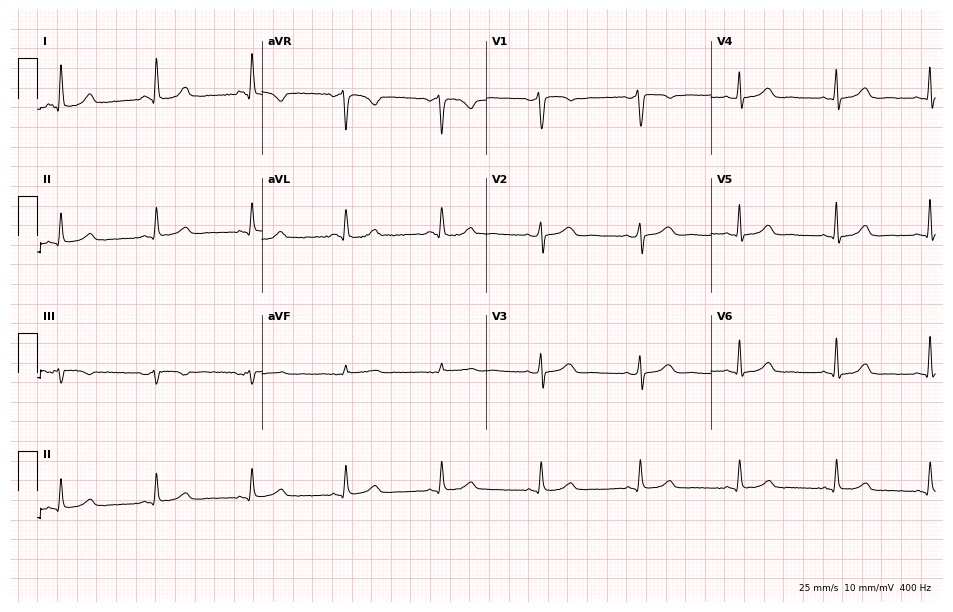
Standard 12-lead ECG recorded from a 63-year-old female. Read as a normal ECG.